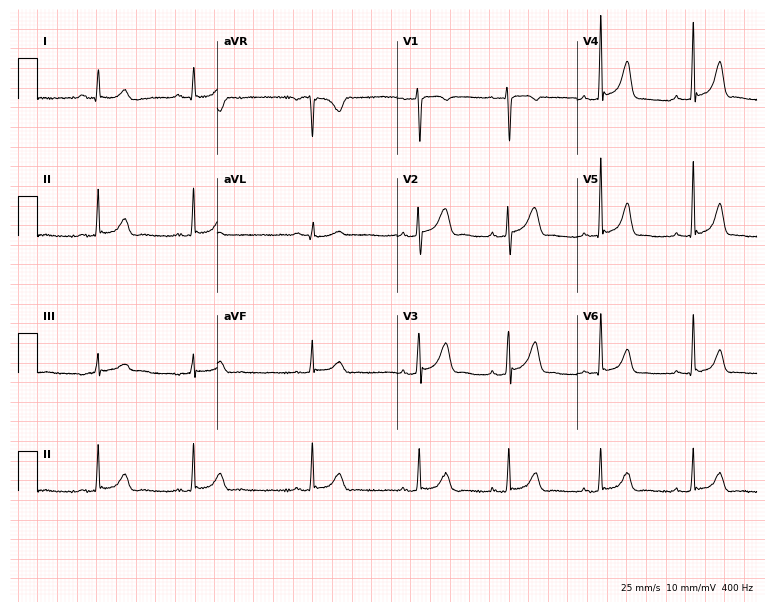
12-lead ECG from a 29-year-old female. Recorded interpretation: within normal limits.